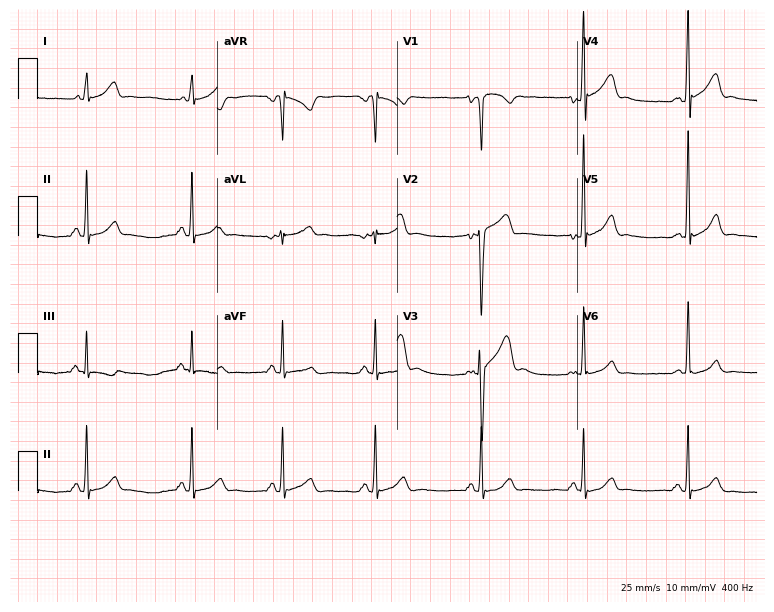
Resting 12-lead electrocardiogram (7.3-second recording at 400 Hz). Patient: a male, 23 years old. Read as a normal ECG.